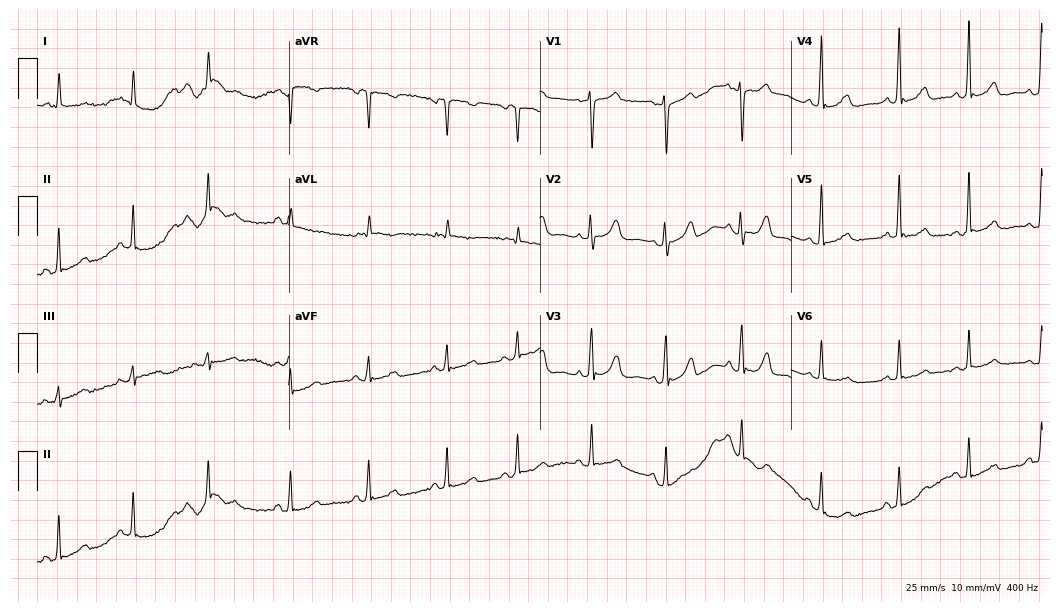
12-lead ECG (10.2-second recording at 400 Hz) from a female, 66 years old. Screened for six findings — first-degree AV block, right bundle branch block, left bundle branch block, sinus bradycardia, atrial fibrillation, sinus tachycardia — none is recorded. Findings outside these six are not listed.